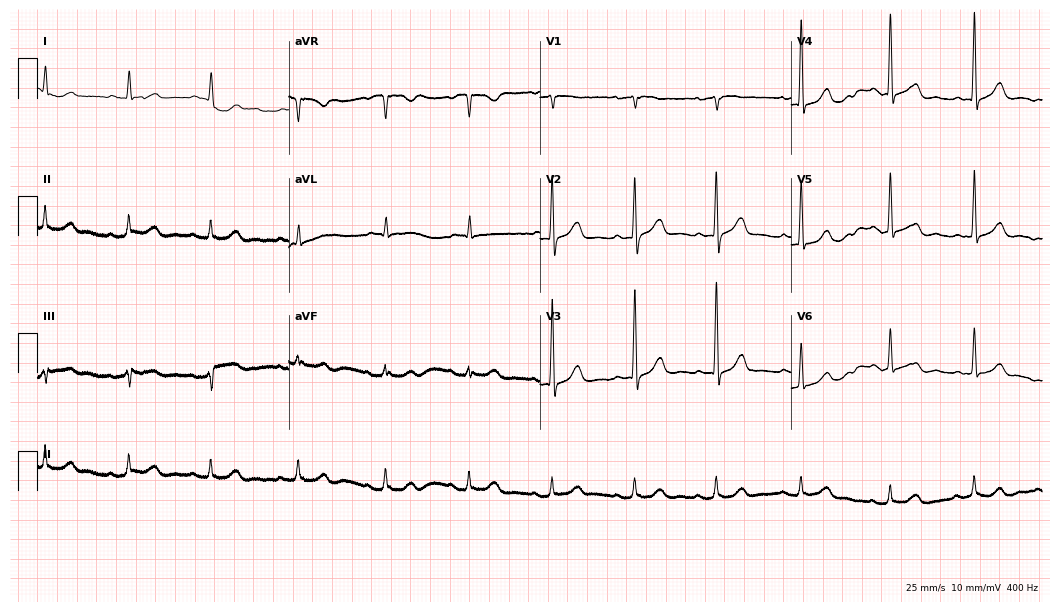
ECG (10.2-second recording at 400 Hz) — an 85-year-old male. Labelled as a normal ECG.